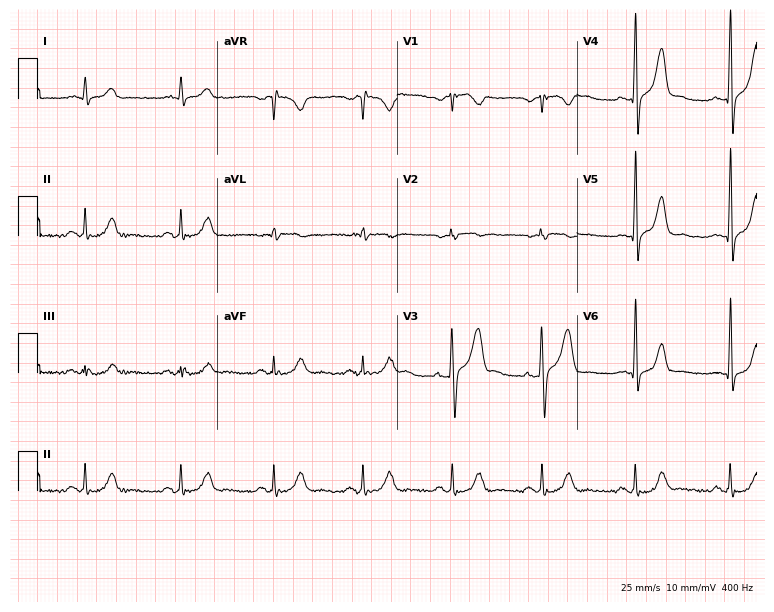
Resting 12-lead electrocardiogram. Patient: a 42-year-old male. Read as a normal ECG.